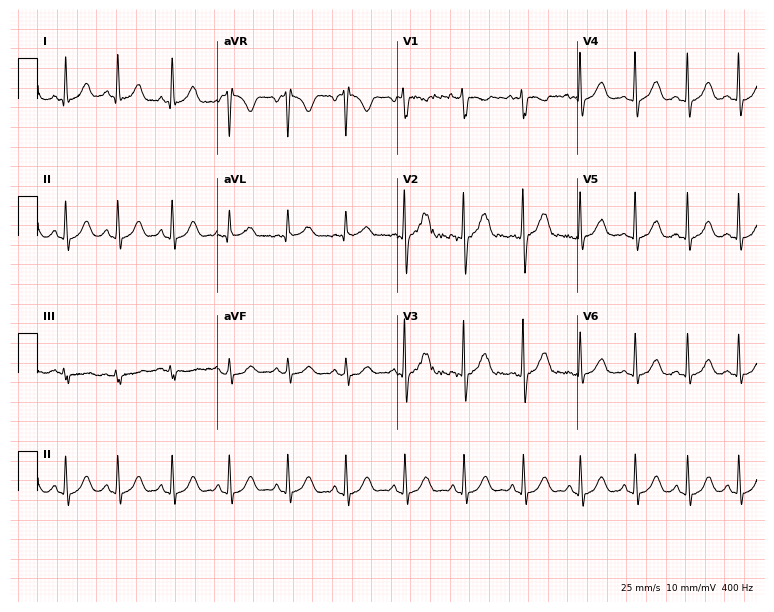
Standard 12-lead ECG recorded from a woman, 17 years old (7.3-second recording at 400 Hz). None of these six findings is recorded: first-degree AV block, right bundle branch block, left bundle branch block, sinus bradycardia, atrial fibrillation, sinus tachycardia. Only these six findings were labelled.